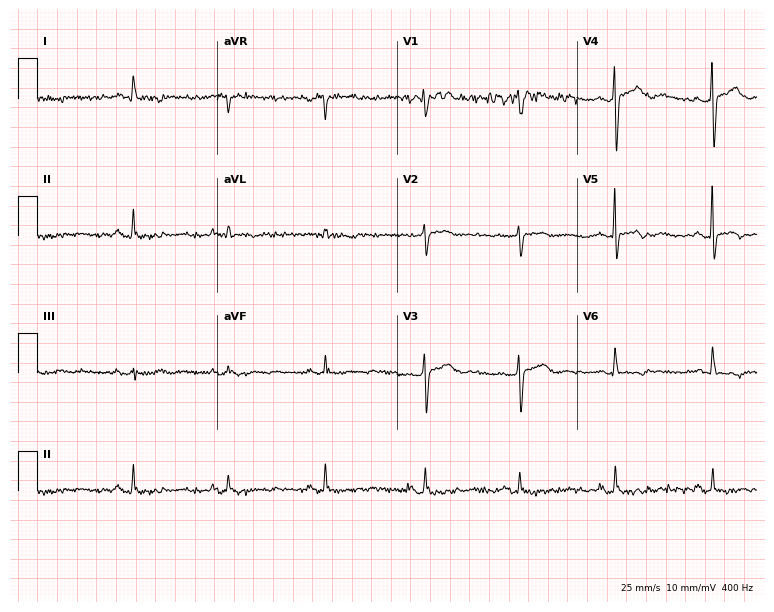
12-lead ECG from a man, 73 years old (7.3-second recording at 400 Hz). No first-degree AV block, right bundle branch block, left bundle branch block, sinus bradycardia, atrial fibrillation or sinus tachycardia recorded for this tracing.